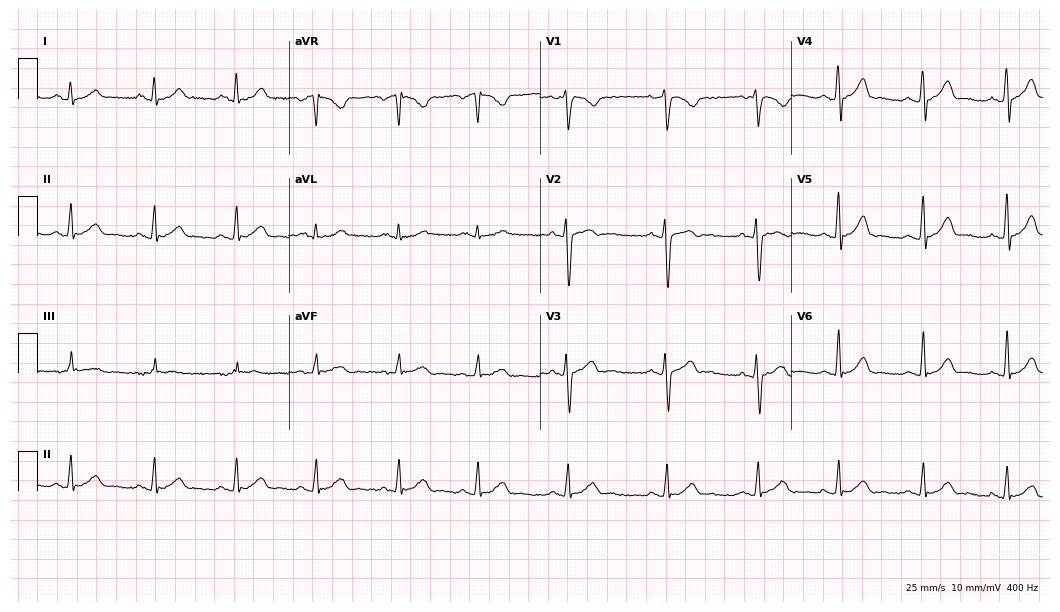
12-lead ECG from a 38-year-old female patient. Recorded interpretation: within normal limits.